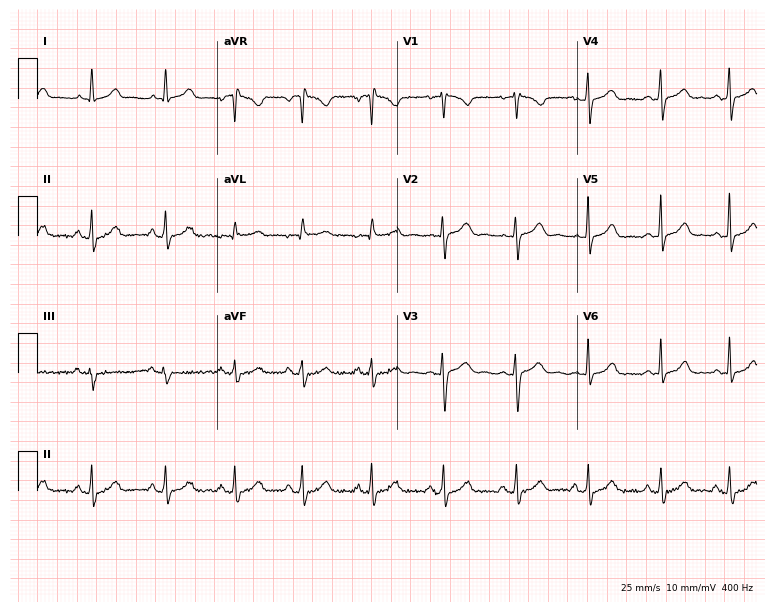
Resting 12-lead electrocardiogram (7.3-second recording at 400 Hz). Patient: a female, 27 years old. Read as a normal ECG.